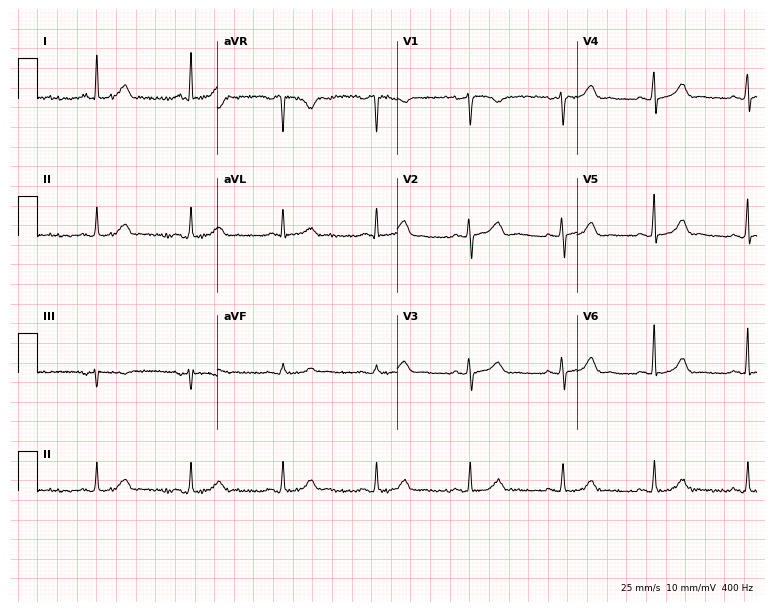
12-lead ECG from a 54-year-old female patient (7.3-second recording at 400 Hz). No first-degree AV block, right bundle branch block (RBBB), left bundle branch block (LBBB), sinus bradycardia, atrial fibrillation (AF) or sinus tachycardia recorded for this tracing.